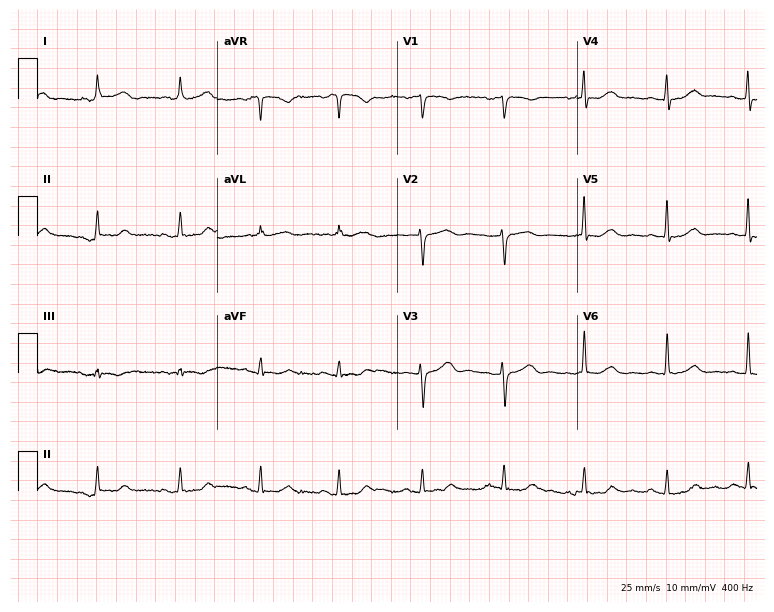
Resting 12-lead electrocardiogram (7.3-second recording at 400 Hz). Patient: a 71-year-old woman. None of these six findings is recorded: first-degree AV block, right bundle branch block, left bundle branch block, sinus bradycardia, atrial fibrillation, sinus tachycardia. Other findings, if any, are not listed.